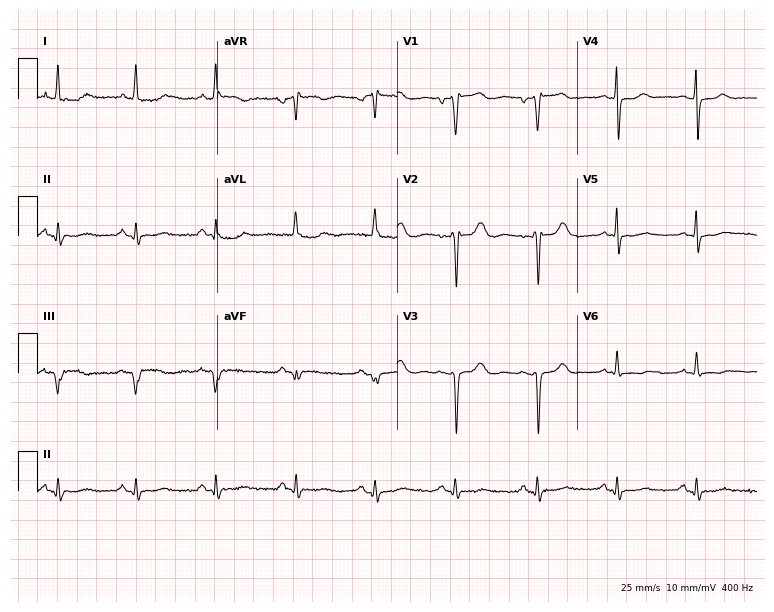
ECG (7.3-second recording at 400 Hz) — a woman, 84 years old. Screened for six findings — first-degree AV block, right bundle branch block, left bundle branch block, sinus bradycardia, atrial fibrillation, sinus tachycardia — none is recorded.